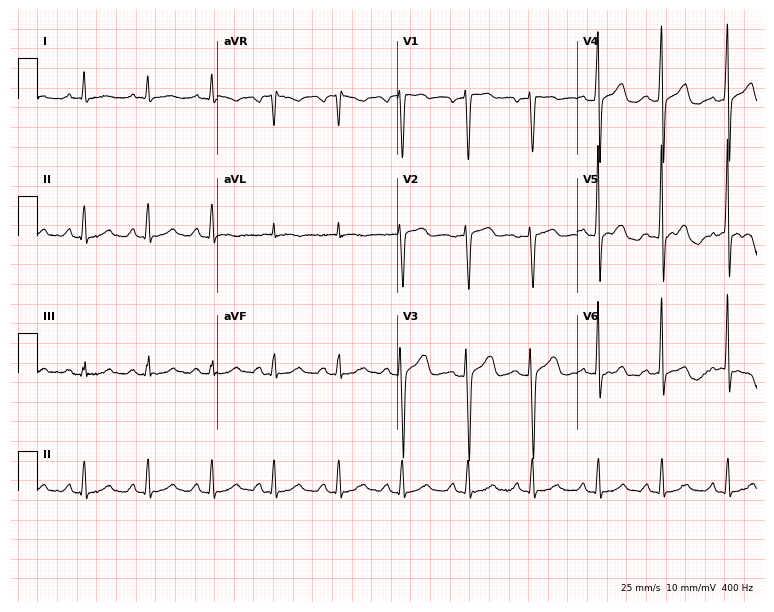
Standard 12-lead ECG recorded from a 67-year-old male patient (7.3-second recording at 400 Hz). Read as a normal ECG.